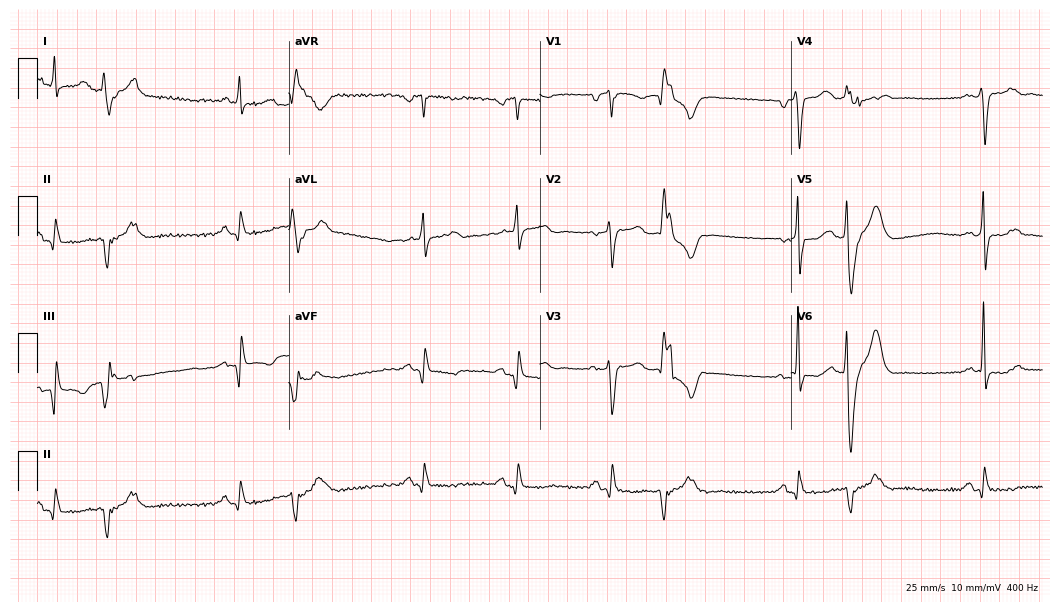
Electrocardiogram (10.2-second recording at 400 Hz), a male patient, 64 years old. Of the six screened findings (first-degree AV block, right bundle branch block, left bundle branch block, sinus bradycardia, atrial fibrillation, sinus tachycardia), none is recorded.